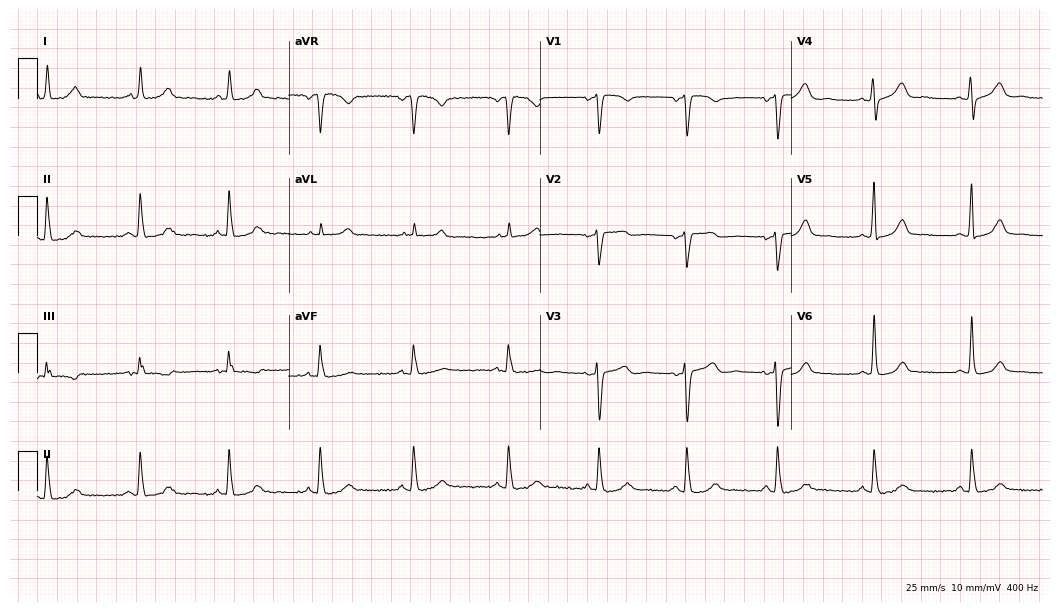
Electrocardiogram, a 64-year-old female patient. Overall reading on record: normal ECG.